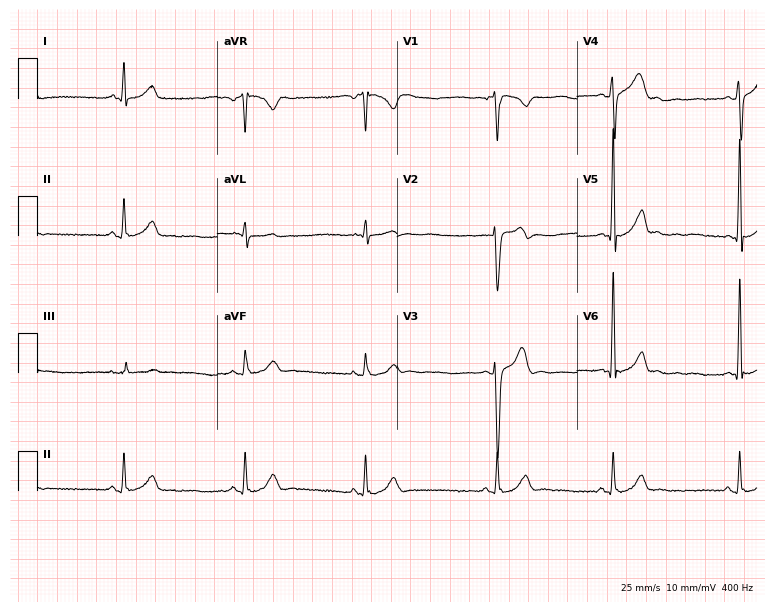
Electrocardiogram, a male, 32 years old. Interpretation includes sinus bradycardia (a sinus rate of 50 beats per minute or less).